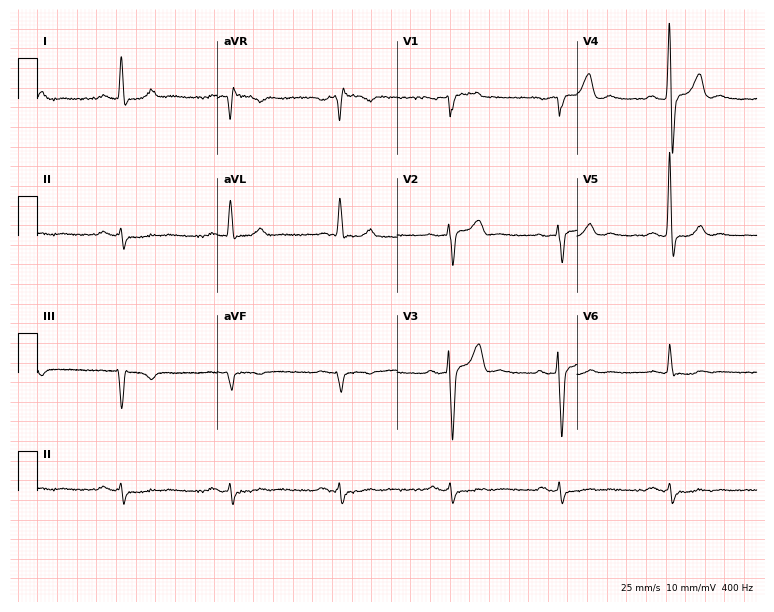
12-lead ECG from a man, 63 years old (7.3-second recording at 400 Hz). No first-degree AV block, right bundle branch block (RBBB), left bundle branch block (LBBB), sinus bradycardia, atrial fibrillation (AF) or sinus tachycardia recorded for this tracing. Findings outside these six are not listed.